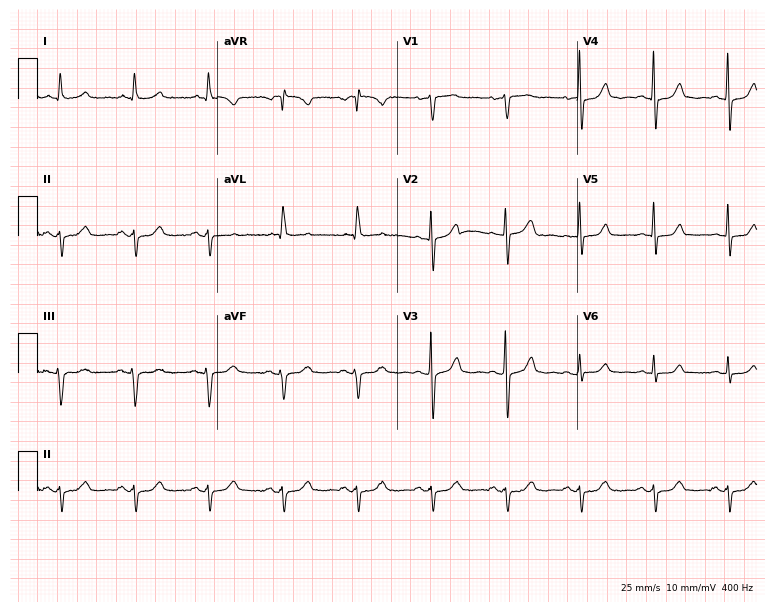
12-lead ECG (7.3-second recording at 400 Hz) from an 81-year-old woman. Screened for six findings — first-degree AV block, right bundle branch block, left bundle branch block, sinus bradycardia, atrial fibrillation, sinus tachycardia — none is recorded.